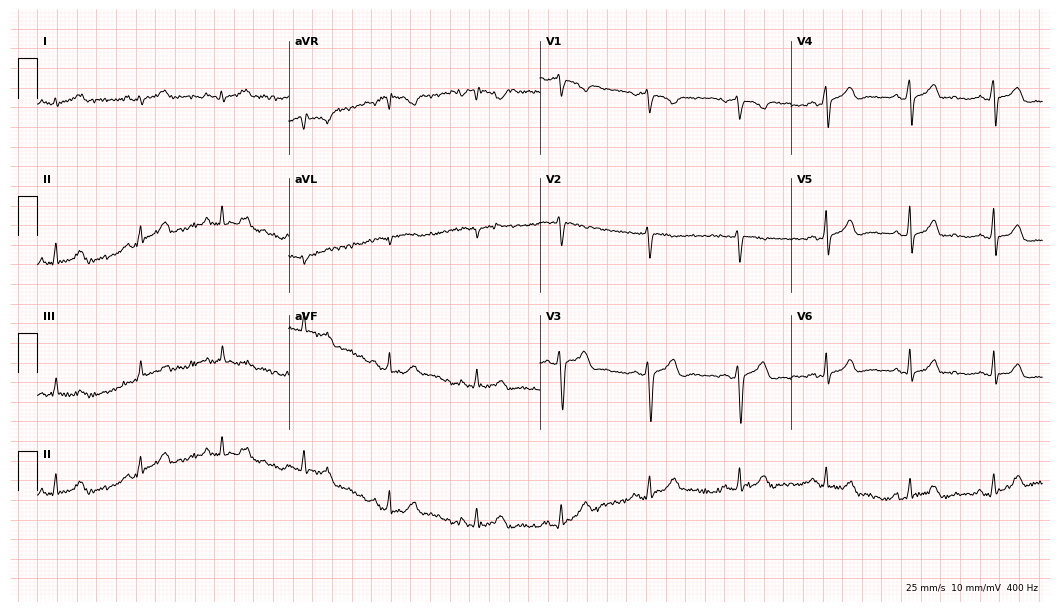
ECG (10.2-second recording at 400 Hz) — a woman, 23 years old. Labelled as a normal ECG.